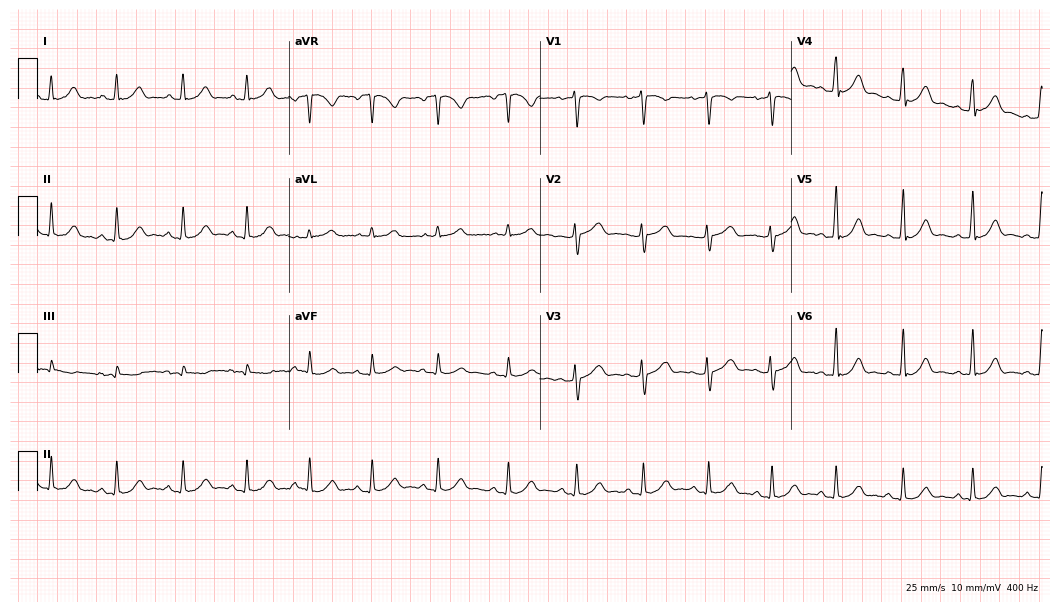
12-lead ECG from a 32-year-old woman (10.2-second recording at 400 Hz). Recorded interpretation: within normal limits.